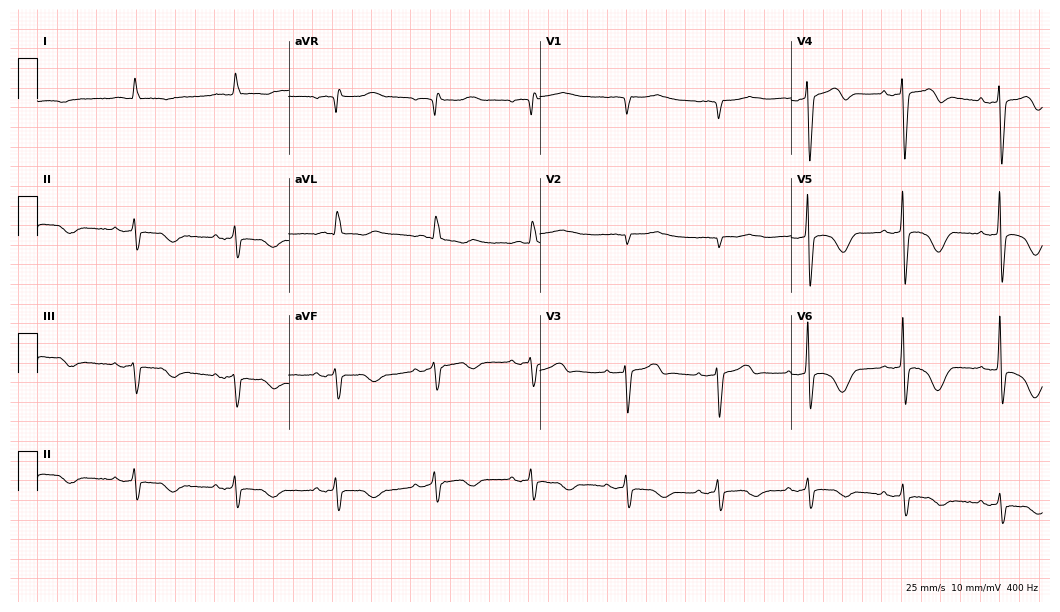
Resting 12-lead electrocardiogram. Patient: an 82-year-old man. None of these six findings is recorded: first-degree AV block, right bundle branch block, left bundle branch block, sinus bradycardia, atrial fibrillation, sinus tachycardia. Other findings, if any, are not listed.